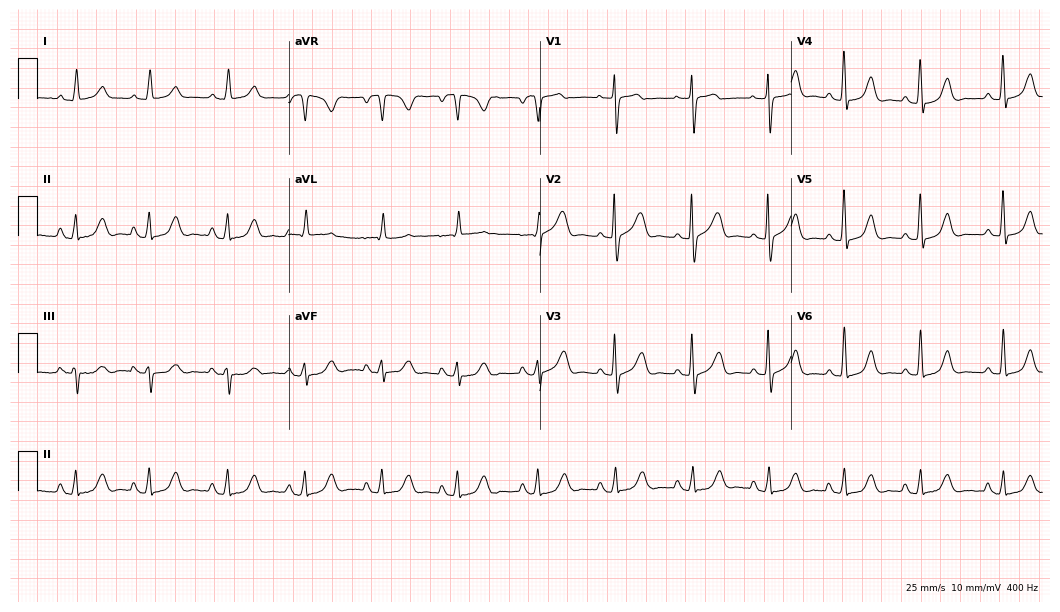
Standard 12-lead ECG recorded from a woman, 85 years old (10.2-second recording at 400 Hz). Read as a normal ECG.